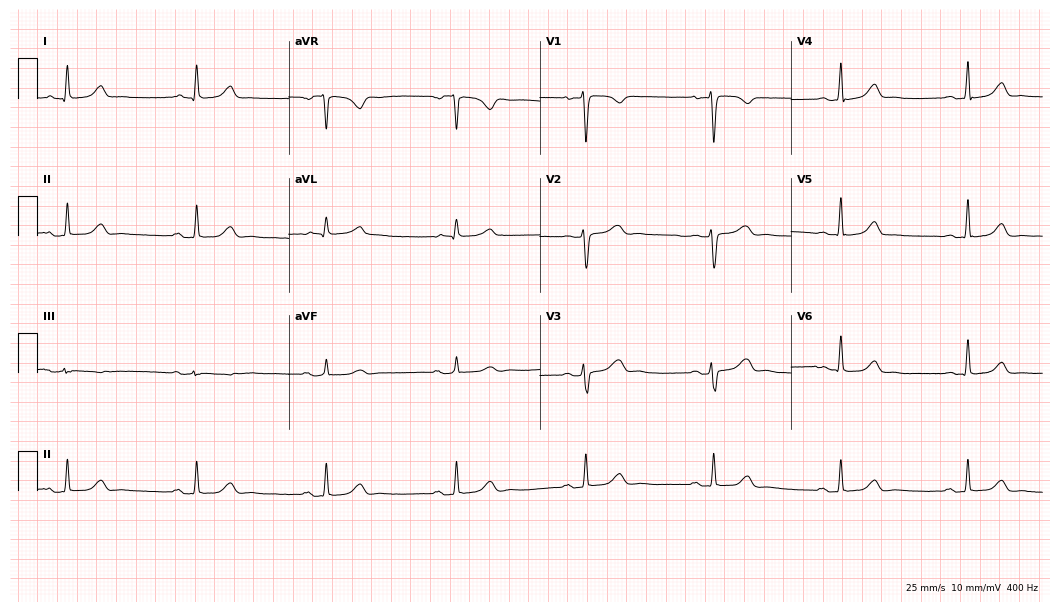
12-lead ECG from a female patient, 46 years old (10.2-second recording at 400 Hz). Shows sinus bradycardia (a sinus rate of 50 beats per minute or less).